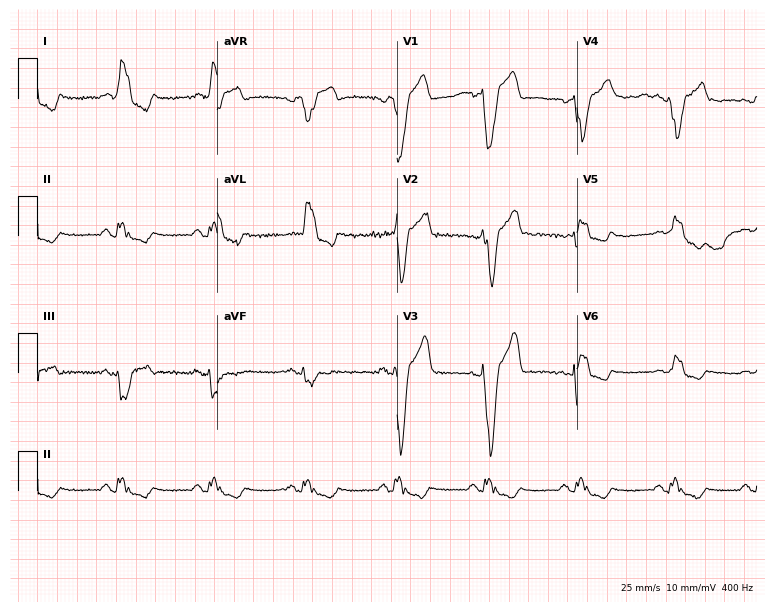
Electrocardiogram, a 60-year-old male. Interpretation includes left bundle branch block.